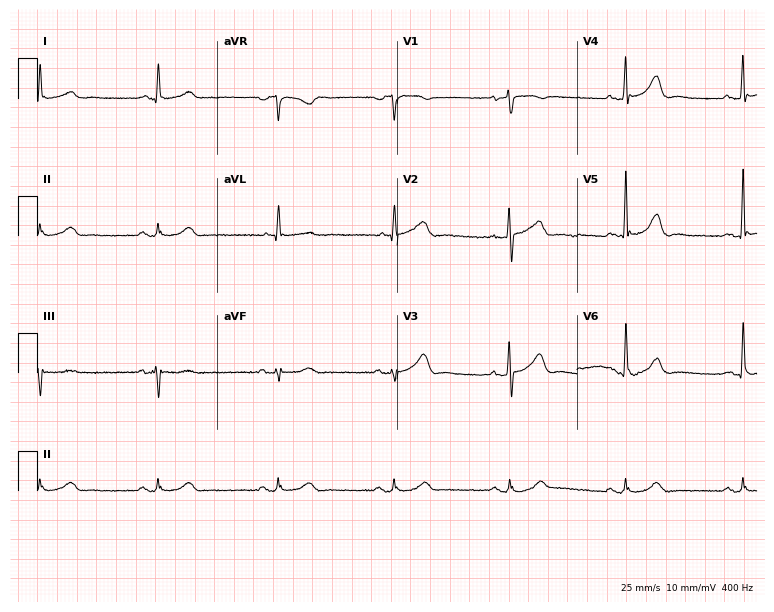
Electrocardiogram, a woman, 59 years old. Interpretation includes sinus bradycardia (a sinus rate of 50 beats per minute or less).